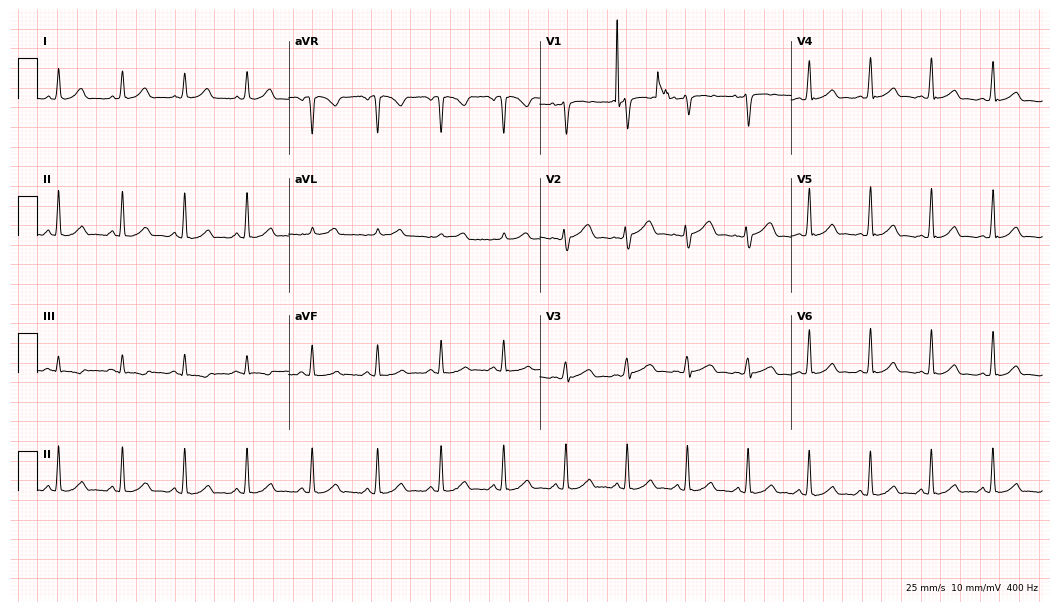
ECG (10.2-second recording at 400 Hz) — a female, 34 years old. Labelled as a normal ECG.